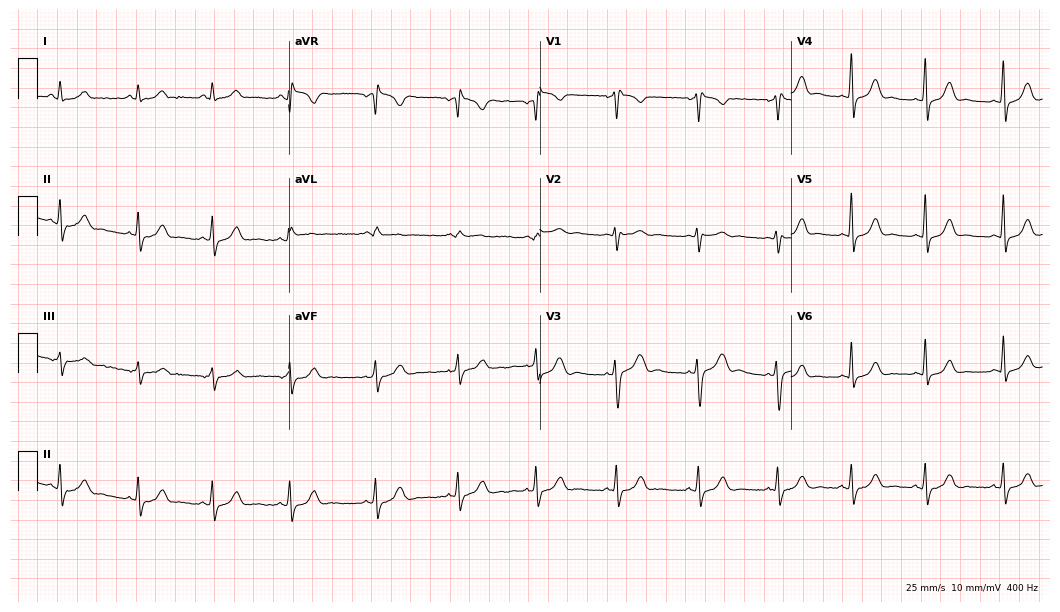
Electrocardiogram, a female patient, 35 years old. Of the six screened findings (first-degree AV block, right bundle branch block (RBBB), left bundle branch block (LBBB), sinus bradycardia, atrial fibrillation (AF), sinus tachycardia), none is recorded.